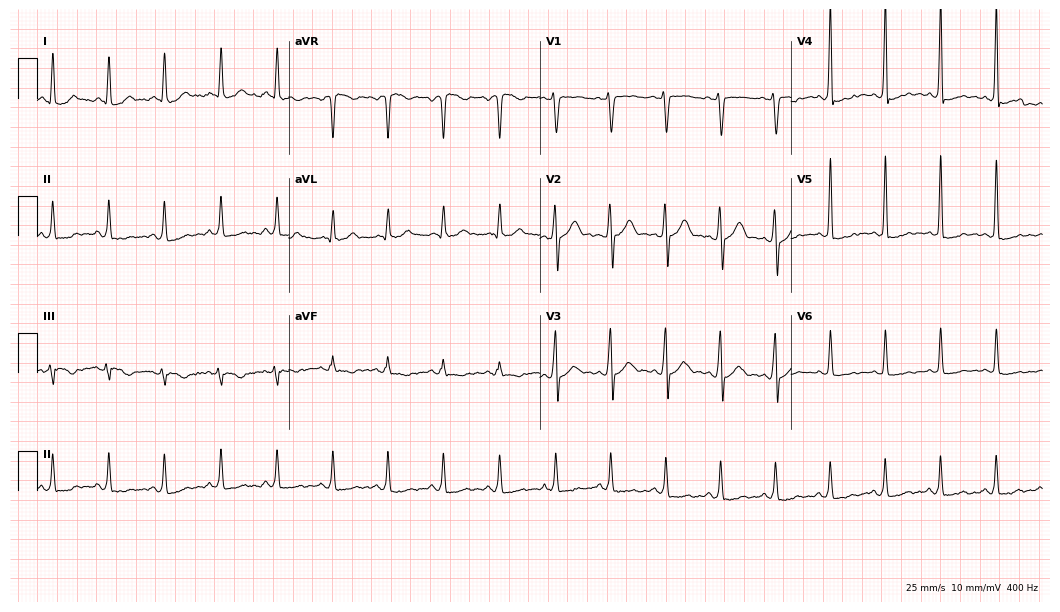
12-lead ECG from a male, 29 years old. No first-degree AV block, right bundle branch block, left bundle branch block, sinus bradycardia, atrial fibrillation or sinus tachycardia recorded for this tracing.